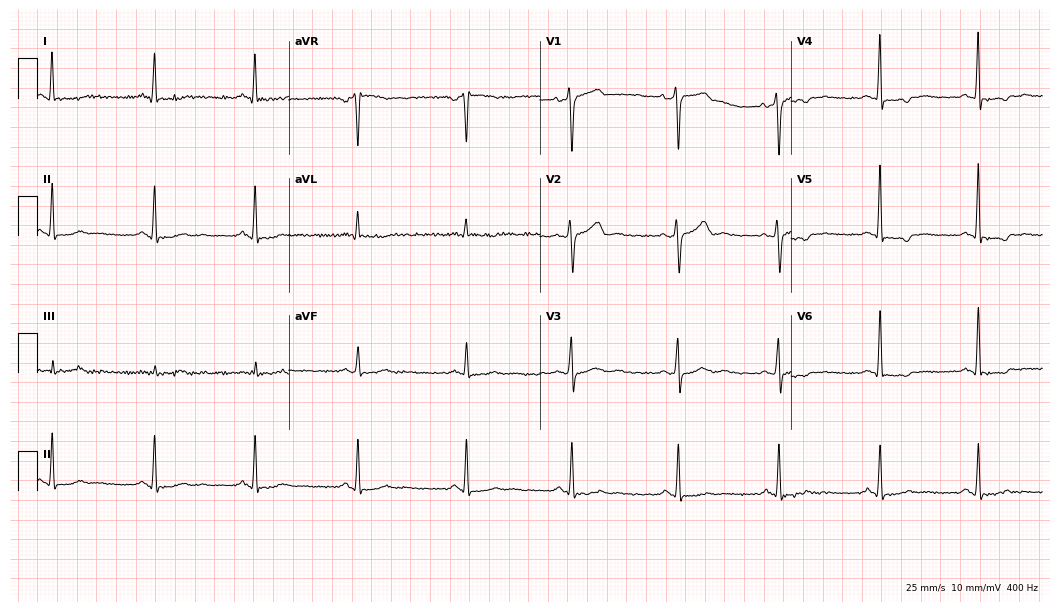
12-lead ECG from a man, 52 years old. No first-degree AV block, right bundle branch block, left bundle branch block, sinus bradycardia, atrial fibrillation or sinus tachycardia recorded for this tracing.